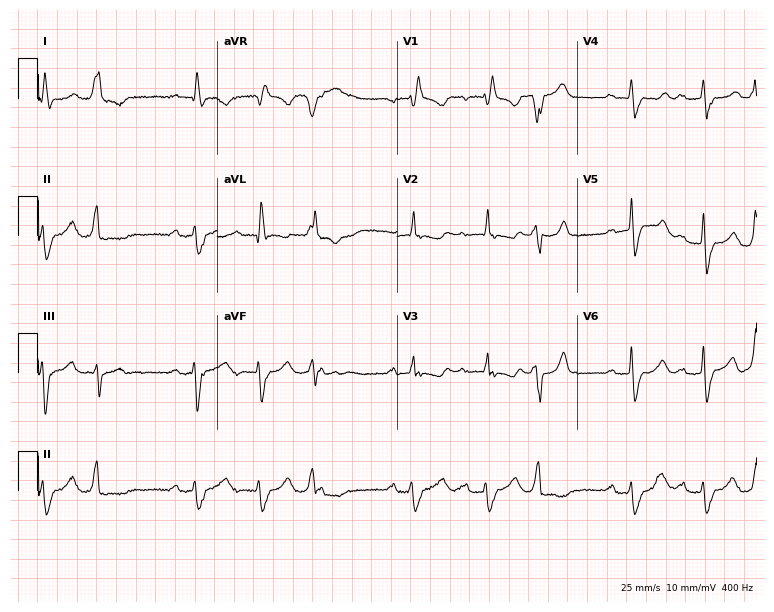
Resting 12-lead electrocardiogram (7.3-second recording at 400 Hz). Patient: a female, 79 years old. None of these six findings is recorded: first-degree AV block, right bundle branch block (RBBB), left bundle branch block (LBBB), sinus bradycardia, atrial fibrillation (AF), sinus tachycardia.